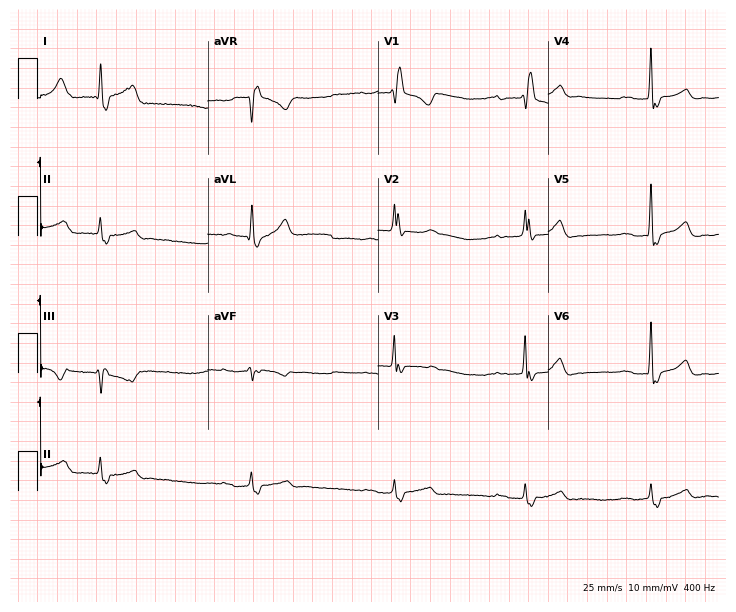
12-lead ECG from a female patient, 79 years old (6.9-second recording at 400 Hz). Shows right bundle branch block (RBBB), sinus bradycardia (a sinus rate of 50 beats per minute or less).